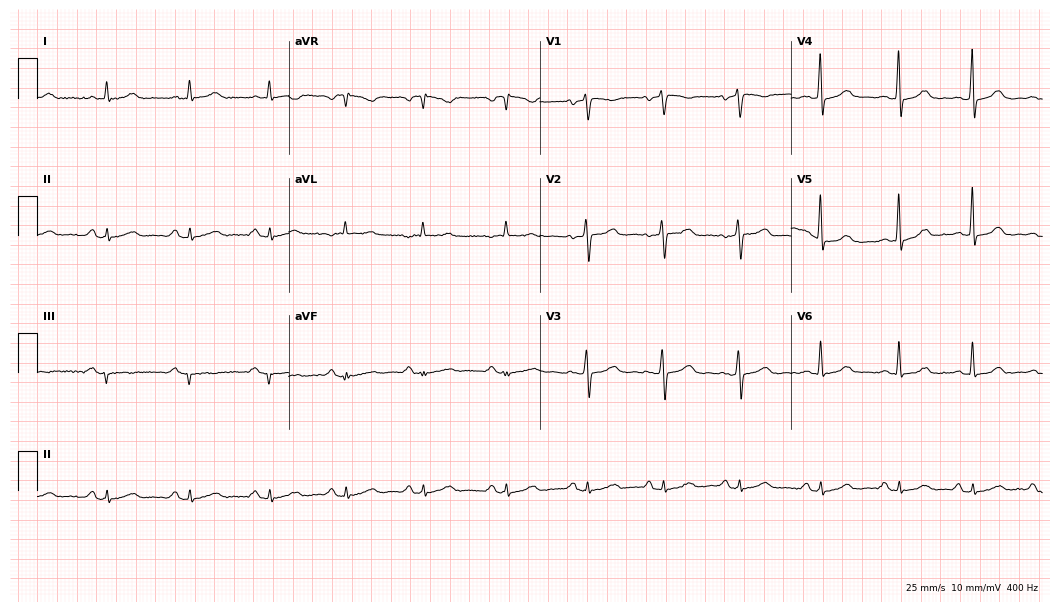
Electrocardiogram (10.2-second recording at 400 Hz), a 49-year-old woman. Of the six screened findings (first-degree AV block, right bundle branch block, left bundle branch block, sinus bradycardia, atrial fibrillation, sinus tachycardia), none is recorded. Only these six findings were labelled.